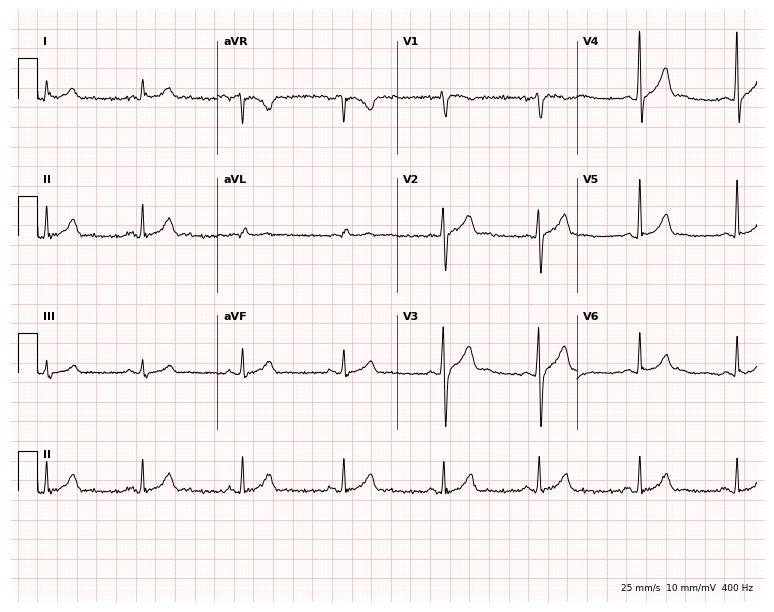
12-lead ECG from a 38-year-old male (7.3-second recording at 400 Hz). Recorded interpretation: within normal limits.